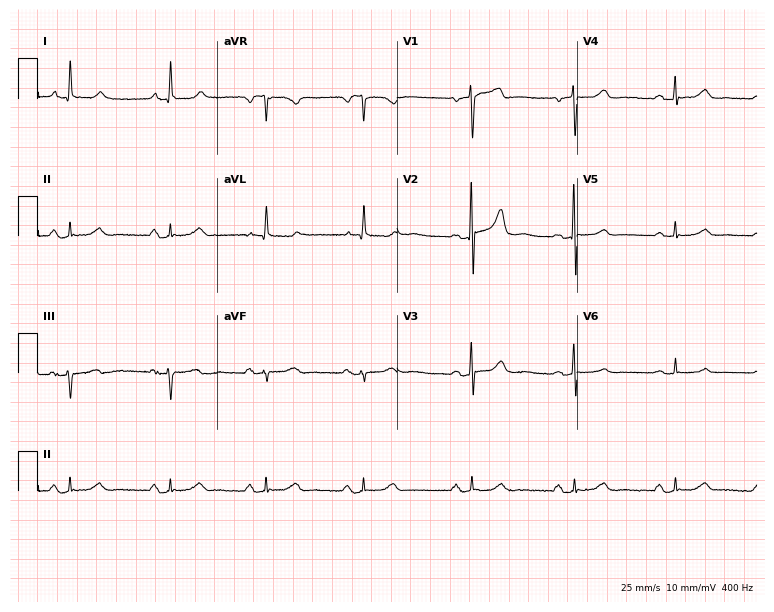
Resting 12-lead electrocardiogram. Patient: a woman, 81 years old. Read as a normal ECG.